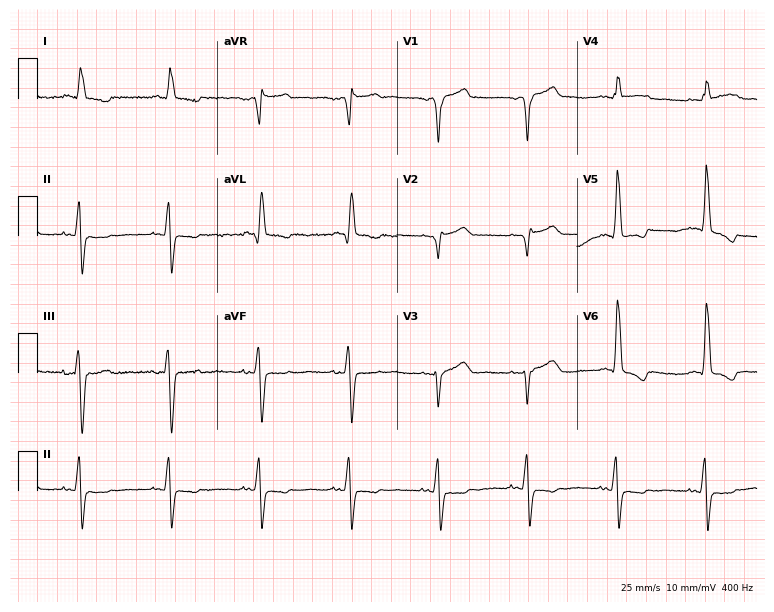
12-lead ECG from a male patient, 71 years old (7.3-second recording at 400 Hz). No first-degree AV block, right bundle branch block, left bundle branch block, sinus bradycardia, atrial fibrillation or sinus tachycardia recorded for this tracing. Only these six findings were labelled.